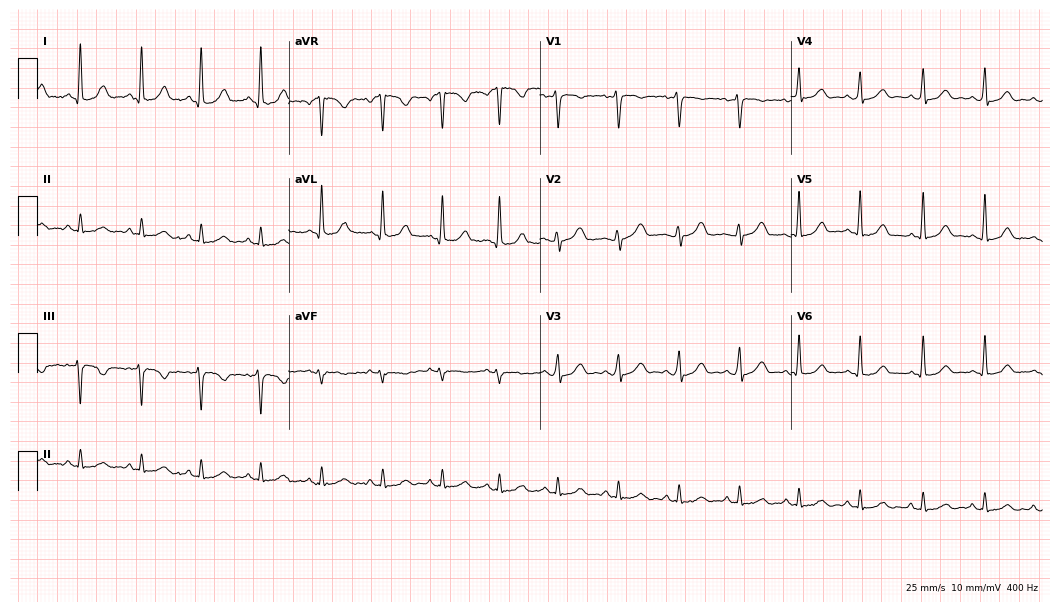
12-lead ECG from a female, 29 years old. No first-degree AV block, right bundle branch block, left bundle branch block, sinus bradycardia, atrial fibrillation or sinus tachycardia recorded for this tracing. Other findings, if any, are not listed.